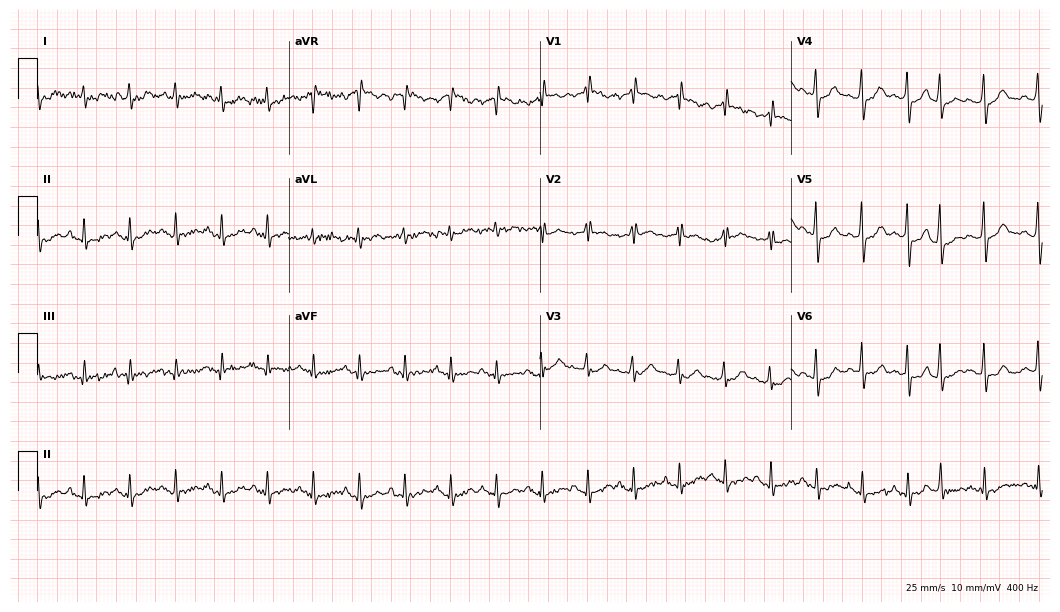
Standard 12-lead ECG recorded from a 72-year-old male. None of these six findings is recorded: first-degree AV block, right bundle branch block, left bundle branch block, sinus bradycardia, atrial fibrillation, sinus tachycardia.